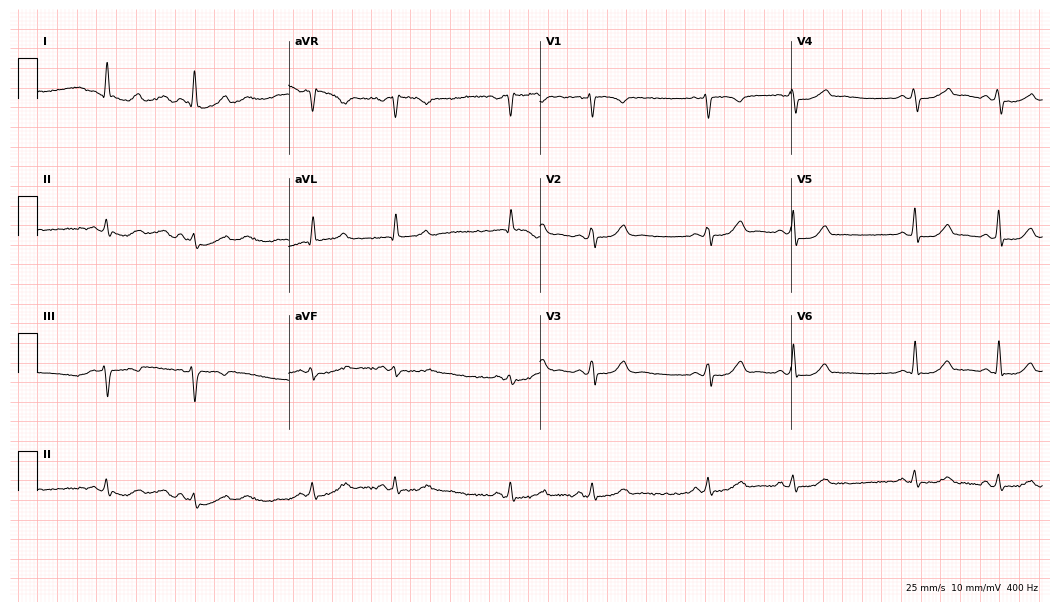
12-lead ECG from a 50-year-old female patient. Screened for six findings — first-degree AV block, right bundle branch block, left bundle branch block, sinus bradycardia, atrial fibrillation, sinus tachycardia — none is recorded. Findings outside these six are not listed.